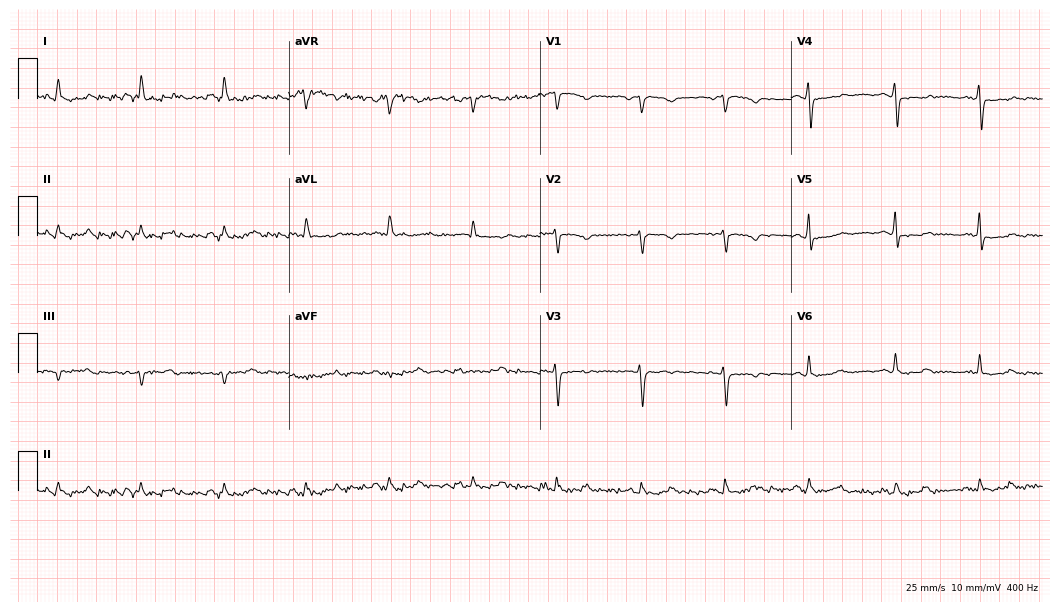
Resting 12-lead electrocardiogram. Patient: a female, 61 years old. None of these six findings is recorded: first-degree AV block, right bundle branch block, left bundle branch block, sinus bradycardia, atrial fibrillation, sinus tachycardia. Only these six findings were labelled.